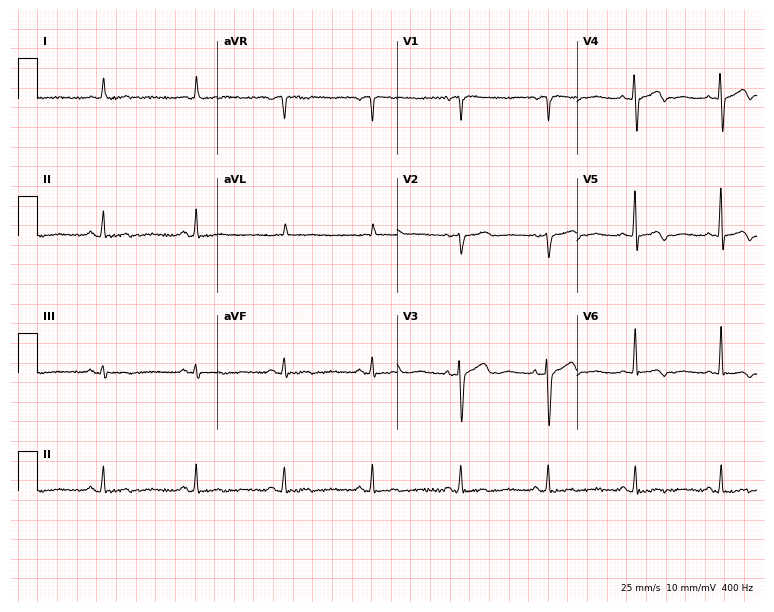
Electrocardiogram (7.3-second recording at 400 Hz), a 78-year-old female. Of the six screened findings (first-degree AV block, right bundle branch block, left bundle branch block, sinus bradycardia, atrial fibrillation, sinus tachycardia), none is recorded. Only these six findings were labelled.